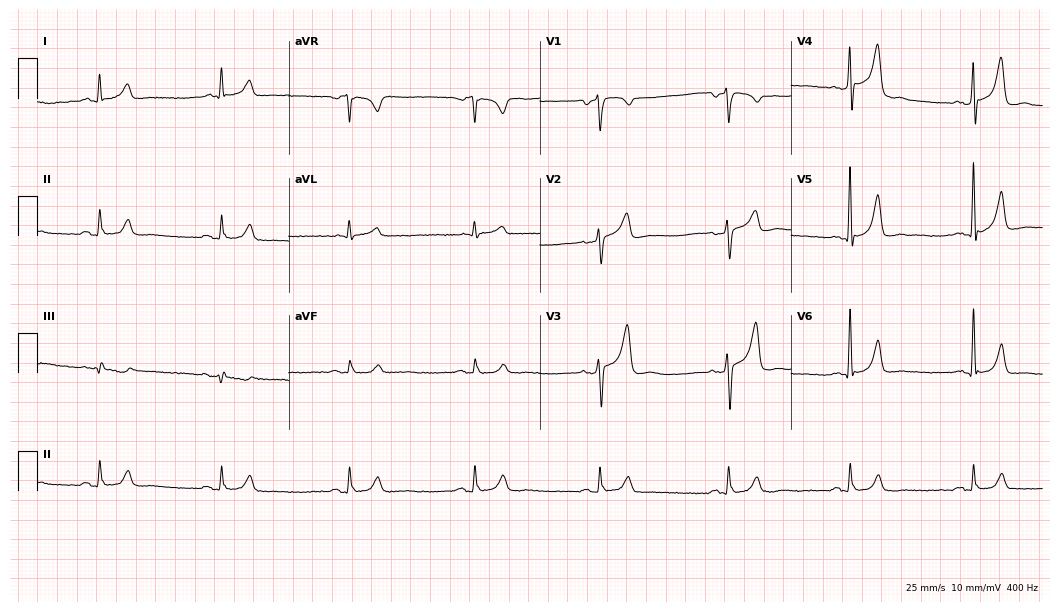
12-lead ECG from a 70-year-old male patient (10.2-second recording at 400 Hz). No first-degree AV block, right bundle branch block, left bundle branch block, sinus bradycardia, atrial fibrillation or sinus tachycardia recorded for this tracing. Only these six findings were labelled.